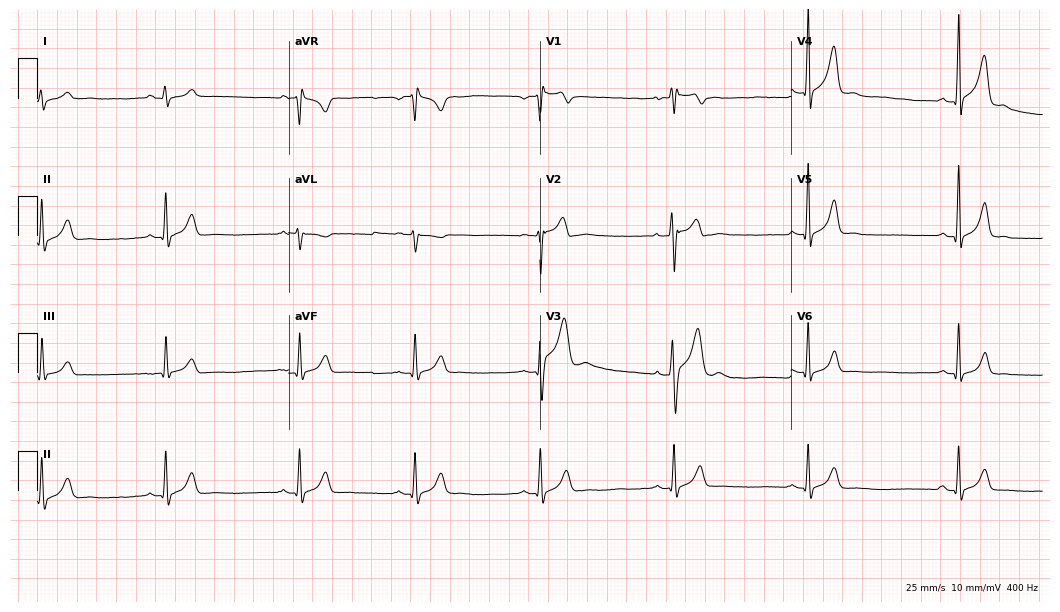
Electrocardiogram, a 20-year-old male patient. Interpretation includes sinus bradycardia (a sinus rate of 50 beats per minute or less).